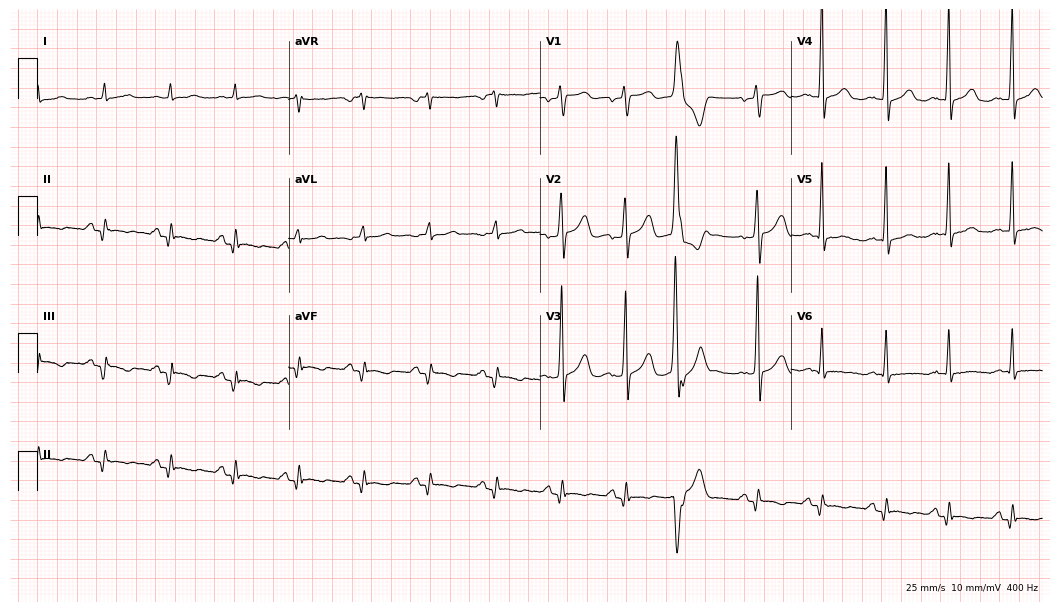
ECG — a 53-year-old male patient. Screened for six findings — first-degree AV block, right bundle branch block, left bundle branch block, sinus bradycardia, atrial fibrillation, sinus tachycardia — none is recorded.